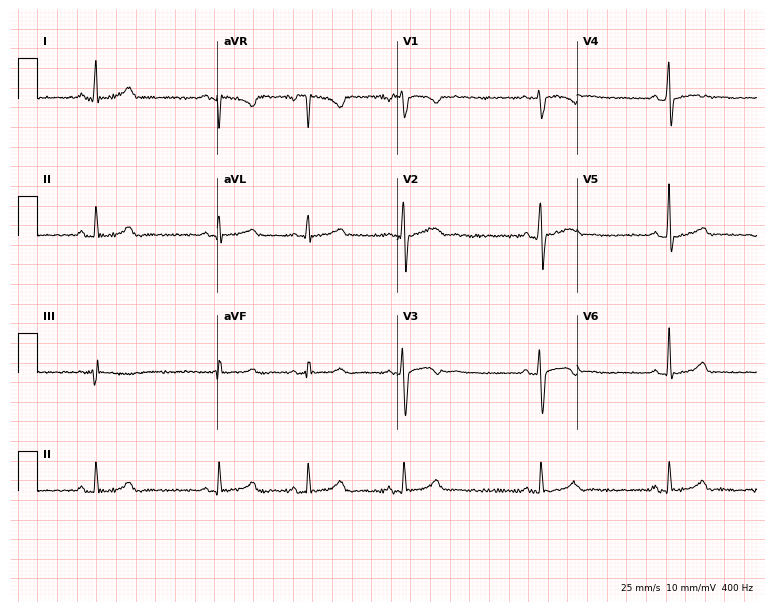
ECG (7.3-second recording at 400 Hz) — a woman, 24 years old. Labelled as a normal ECG.